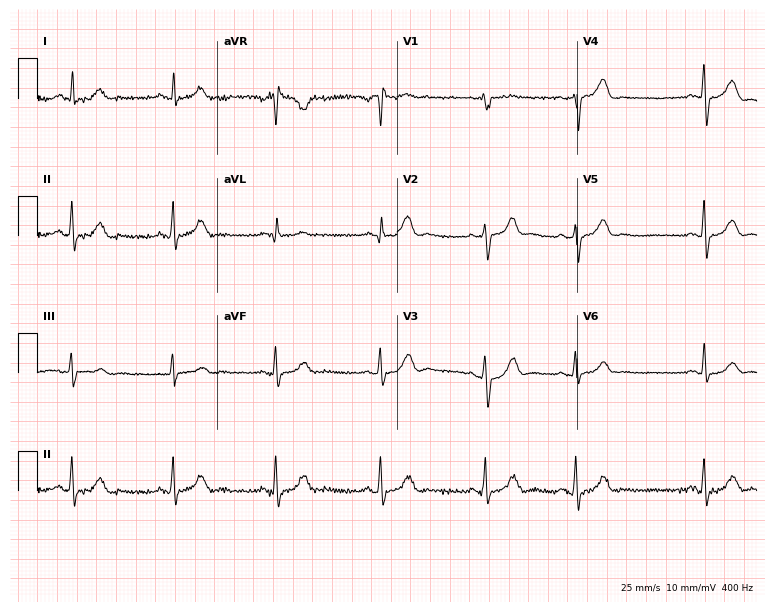
ECG (7.3-second recording at 400 Hz) — a female, 53 years old. Labelled as a normal ECG.